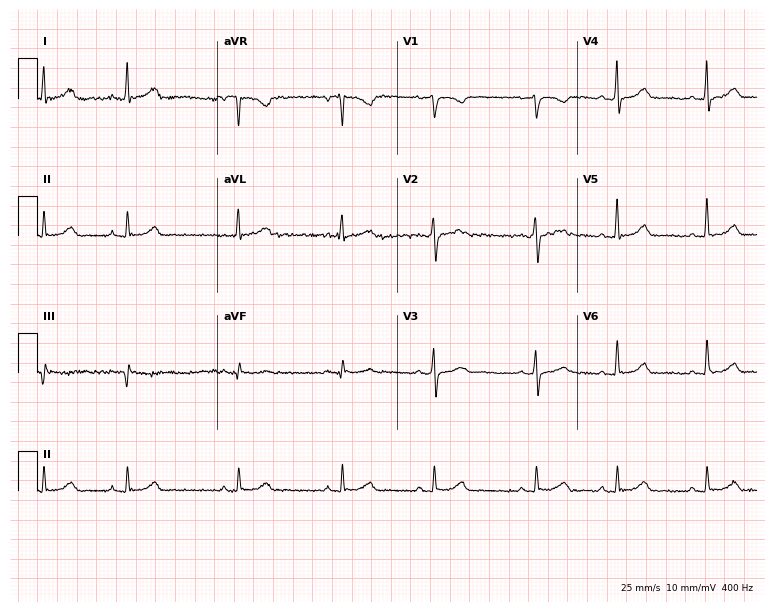
Resting 12-lead electrocardiogram (7.3-second recording at 400 Hz). Patient: a woman, 29 years old. Read as a normal ECG.